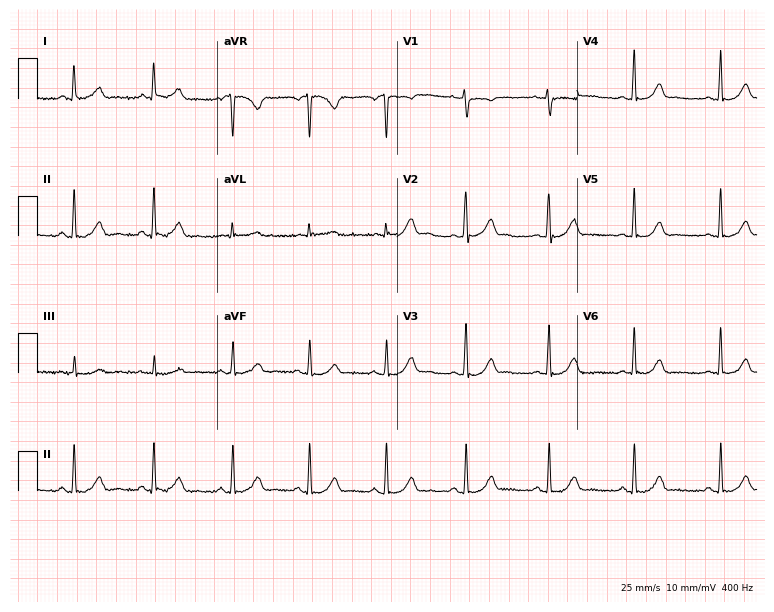
ECG — a 44-year-old woman. Screened for six findings — first-degree AV block, right bundle branch block (RBBB), left bundle branch block (LBBB), sinus bradycardia, atrial fibrillation (AF), sinus tachycardia — none is recorded.